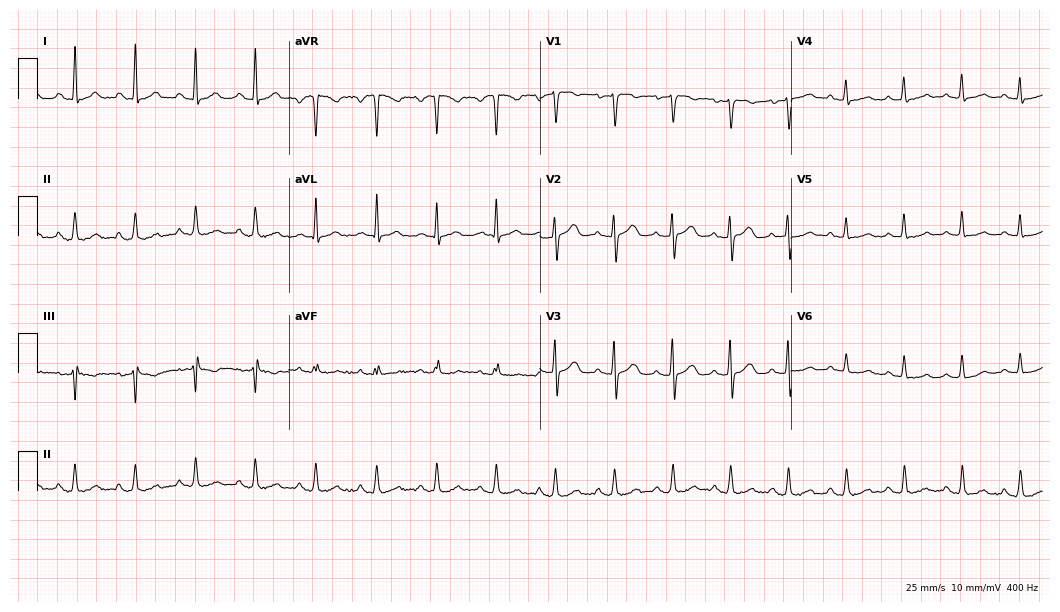
12-lead ECG from a 51-year-old female patient. No first-degree AV block, right bundle branch block (RBBB), left bundle branch block (LBBB), sinus bradycardia, atrial fibrillation (AF) or sinus tachycardia recorded for this tracing. Only these six findings were labelled.